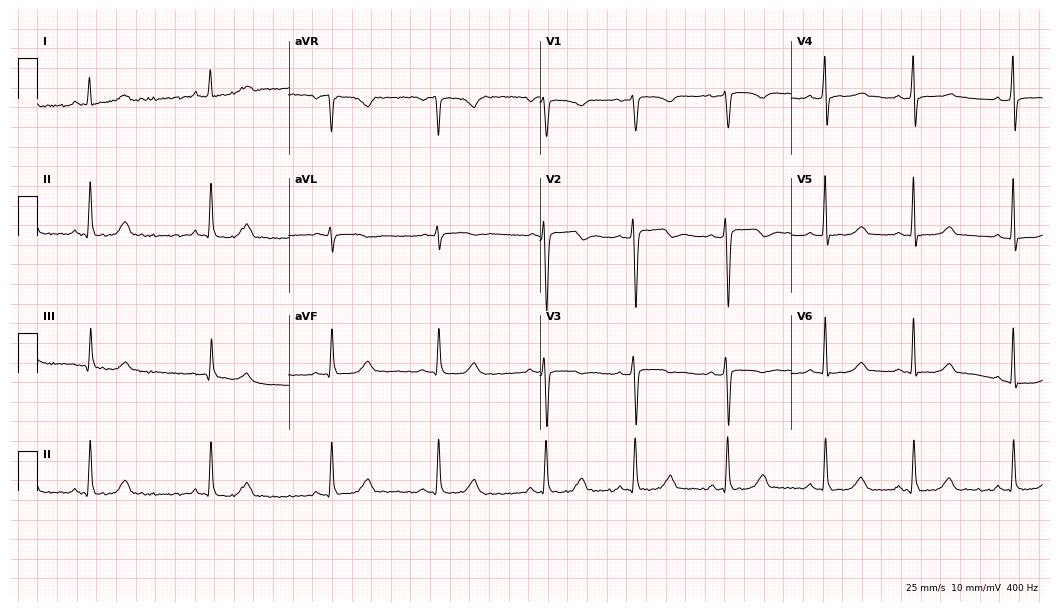
ECG (10.2-second recording at 400 Hz) — a female patient, 41 years old. Labelled as a normal ECG.